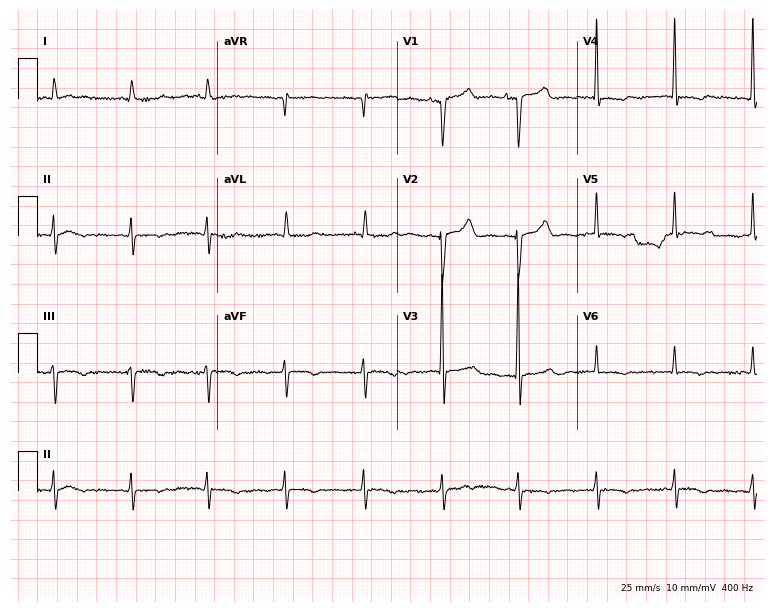
ECG — a 52-year-old female. Screened for six findings — first-degree AV block, right bundle branch block (RBBB), left bundle branch block (LBBB), sinus bradycardia, atrial fibrillation (AF), sinus tachycardia — none is recorded.